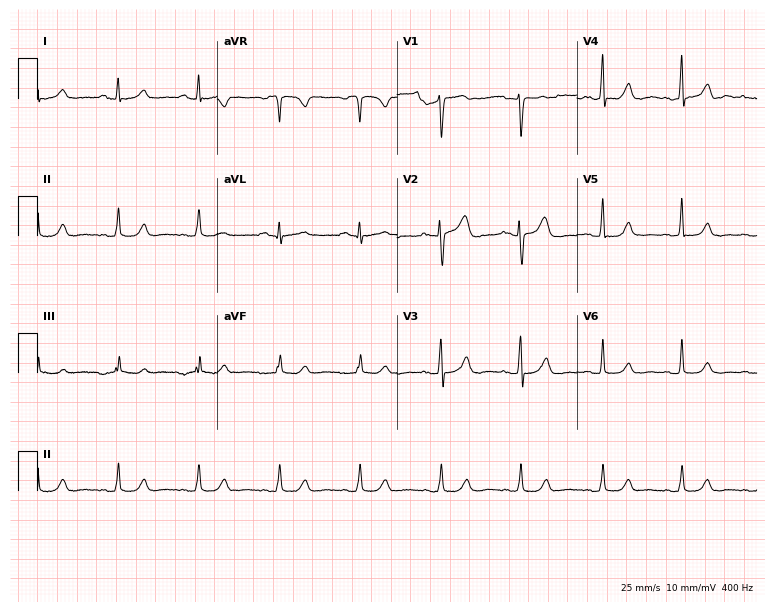
Standard 12-lead ECG recorded from a female, 41 years old. Read as a normal ECG.